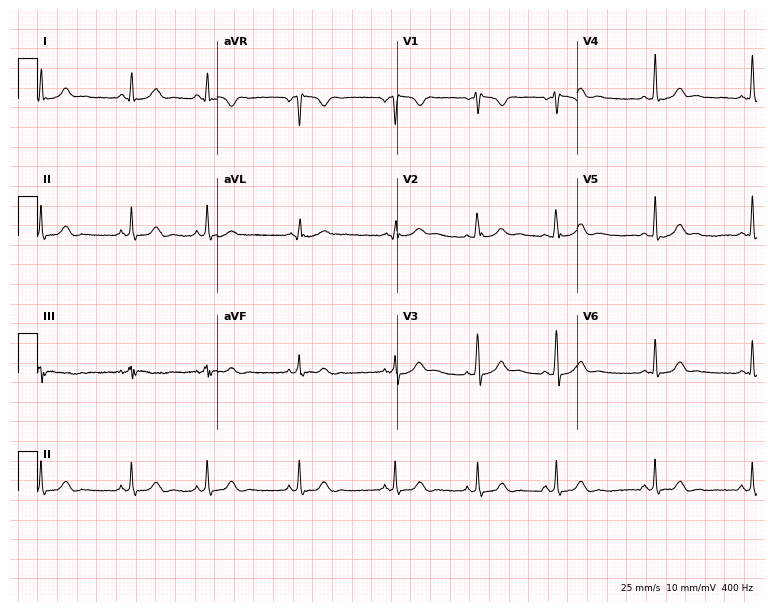
Resting 12-lead electrocardiogram (7.3-second recording at 400 Hz). Patient: an 18-year-old woman. Read as a normal ECG.